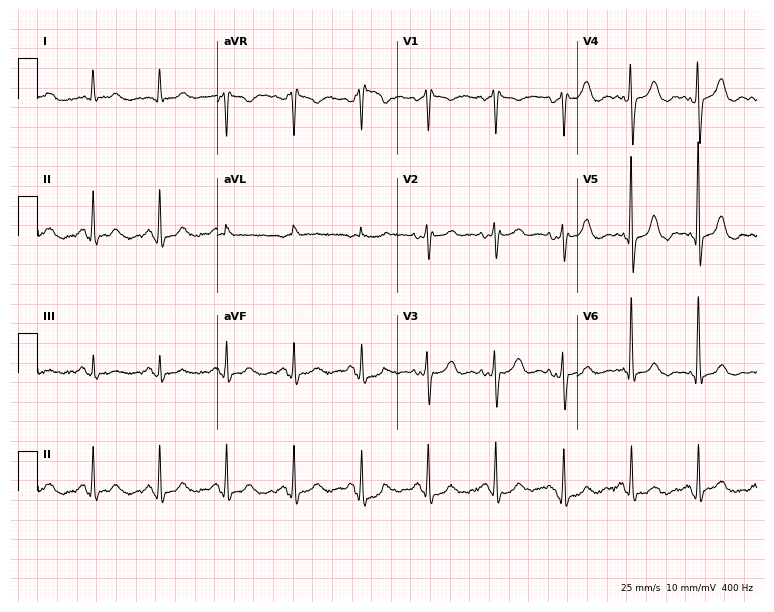
Standard 12-lead ECG recorded from a female patient, 81 years old (7.3-second recording at 400 Hz). None of these six findings is recorded: first-degree AV block, right bundle branch block, left bundle branch block, sinus bradycardia, atrial fibrillation, sinus tachycardia.